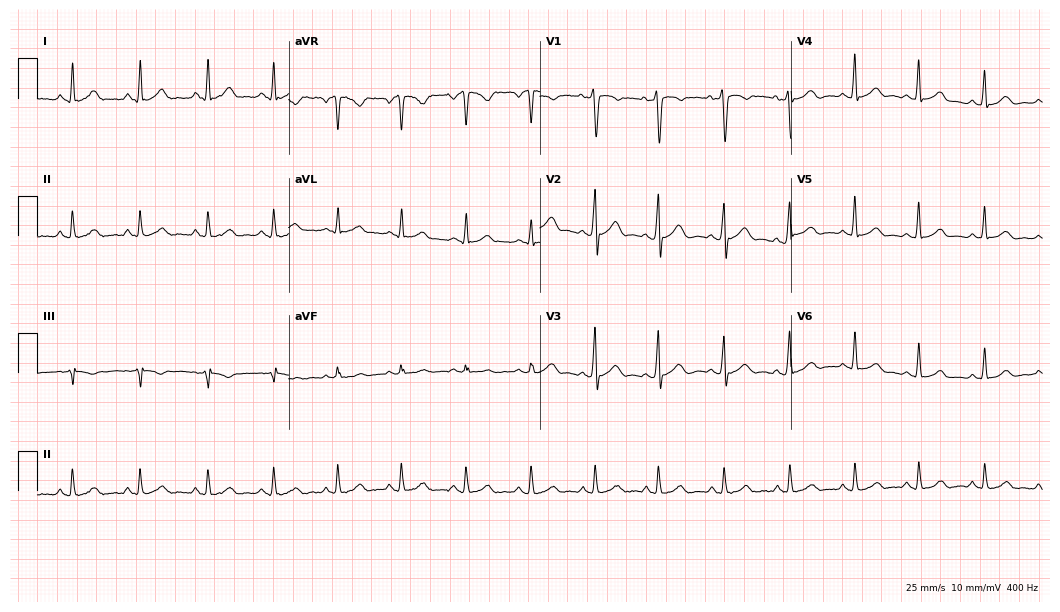
Electrocardiogram, a 35-year-old male patient. Overall reading on record: normal ECG.